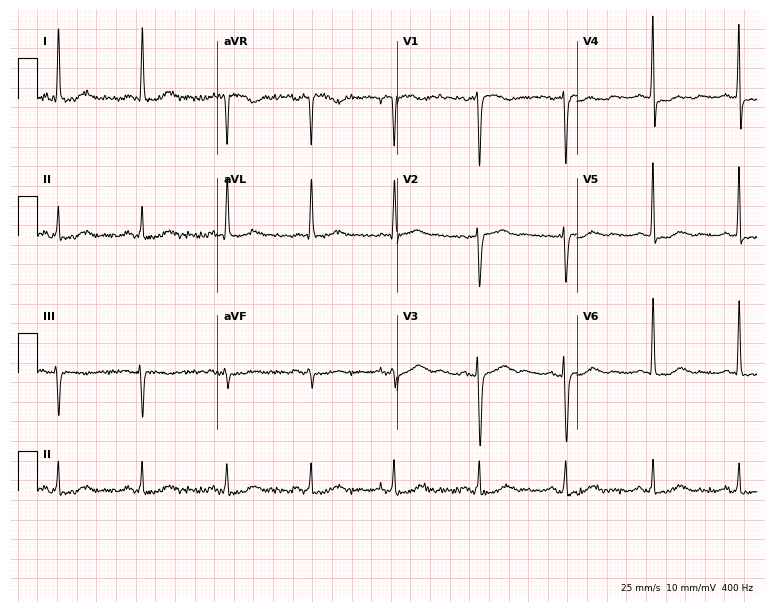
12-lead ECG from a female patient, 44 years old (7.3-second recording at 400 Hz). No first-degree AV block, right bundle branch block (RBBB), left bundle branch block (LBBB), sinus bradycardia, atrial fibrillation (AF) or sinus tachycardia recorded for this tracing. Only these six findings were labelled.